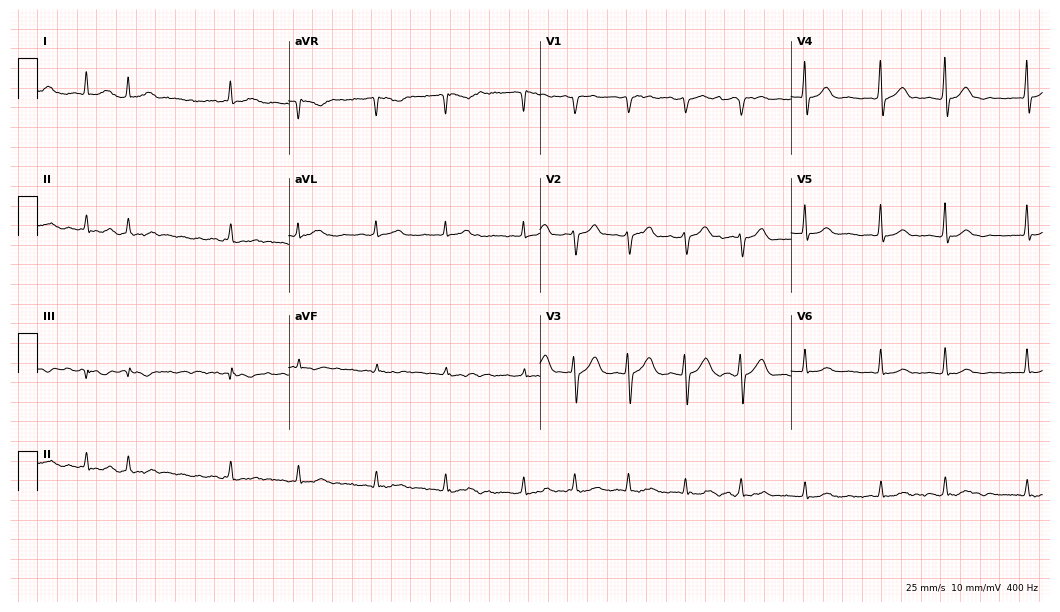
12-lead ECG from a 66-year-old male patient. Shows atrial fibrillation.